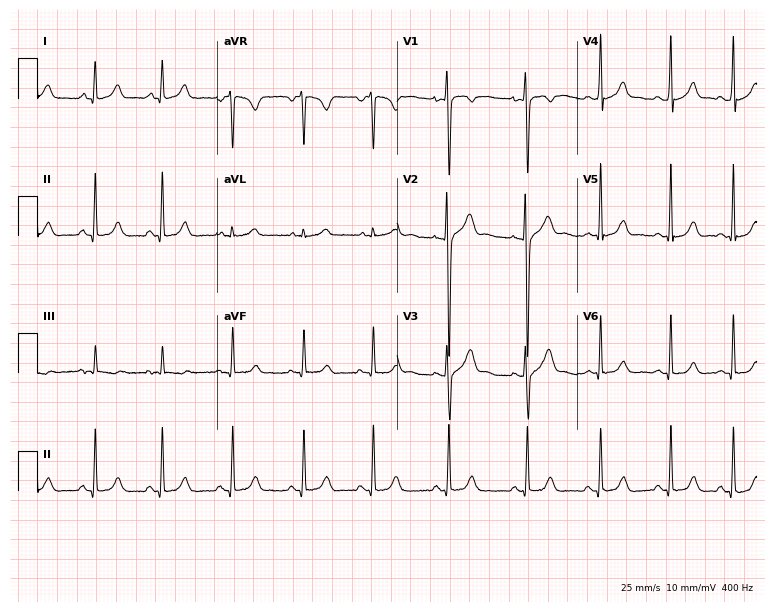
12-lead ECG from a 22-year-old woman. No first-degree AV block, right bundle branch block, left bundle branch block, sinus bradycardia, atrial fibrillation or sinus tachycardia recorded for this tracing. Only these six findings were labelled.